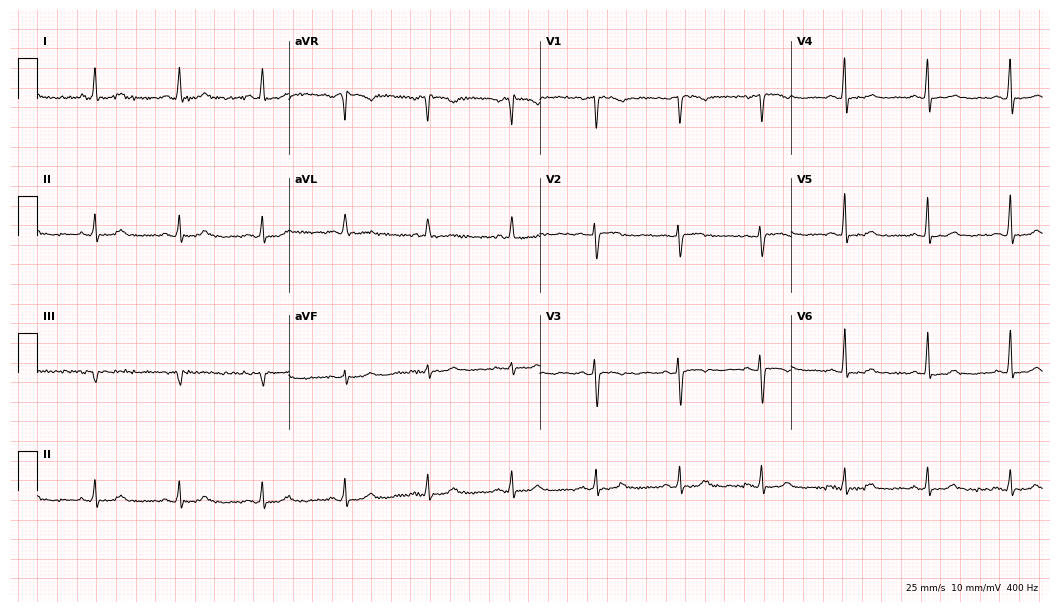
Standard 12-lead ECG recorded from a female patient, 63 years old (10.2-second recording at 400 Hz). None of these six findings is recorded: first-degree AV block, right bundle branch block (RBBB), left bundle branch block (LBBB), sinus bradycardia, atrial fibrillation (AF), sinus tachycardia.